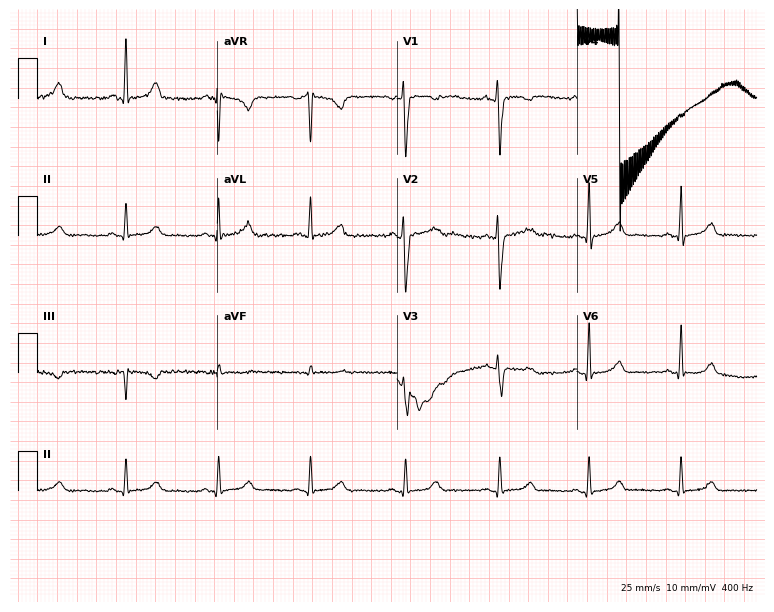
Electrocardiogram (7.3-second recording at 400 Hz), a woman, 36 years old. Of the six screened findings (first-degree AV block, right bundle branch block (RBBB), left bundle branch block (LBBB), sinus bradycardia, atrial fibrillation (AF), sinus tachycardia), none is recorded.